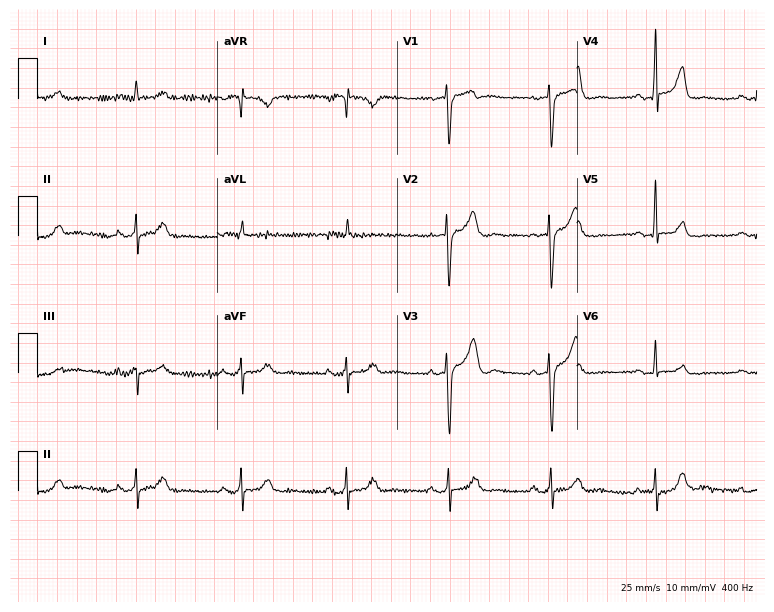
Electrocardiogram, a male, 69 years old. Of the six screened findings (first-degree AV block, right bundle branch block (RBBB), left bundle branch block (LBBB), sinus bradycardia, atrial fibrillation (AF), sinus tachycardia), none is recorded. Only these six findings were labelled.